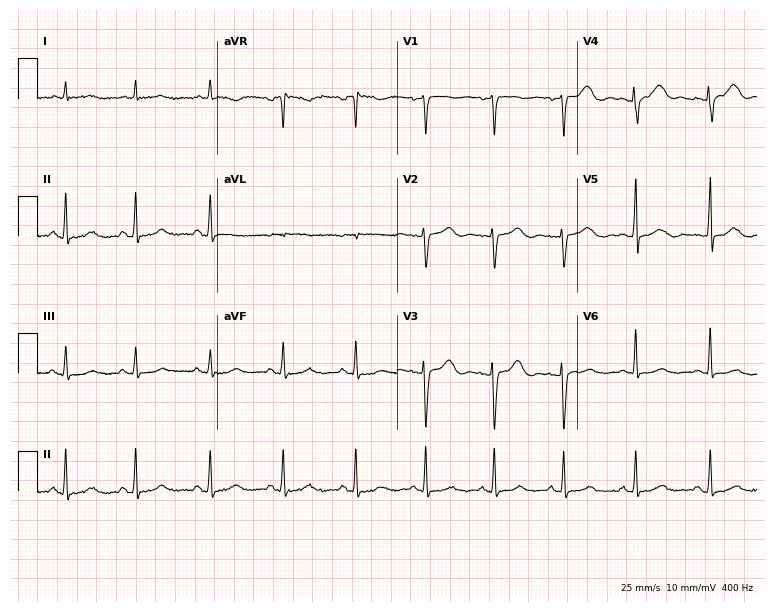
Standard 12-lead ECG recorded from a 48-year-old woman (7.3-second recording at 400 Hz). None of these six findings is recorded: first-degree AV block, right bundle branch block, left bundle branch block, sinus bradycardia, atrial fibrillation, sinus tachycardia.